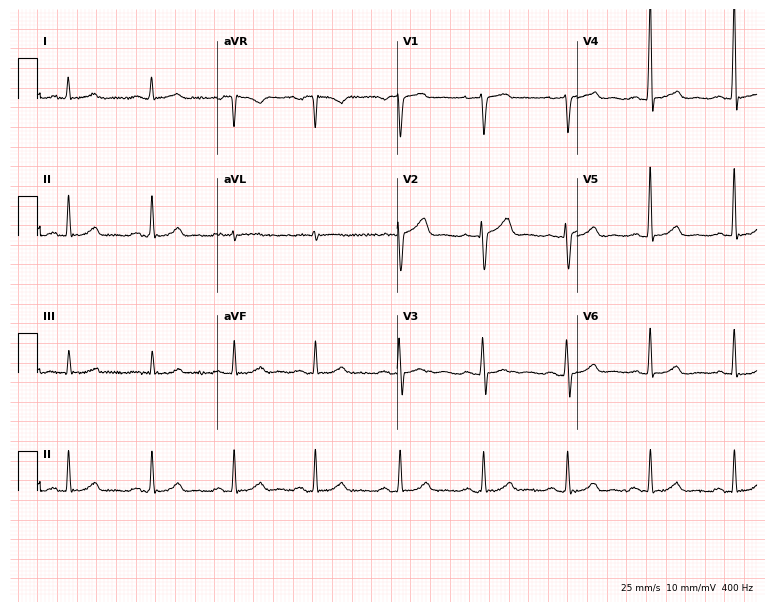
12-lead ECG from a 52-year-old male. Labelled as a normal ECG.